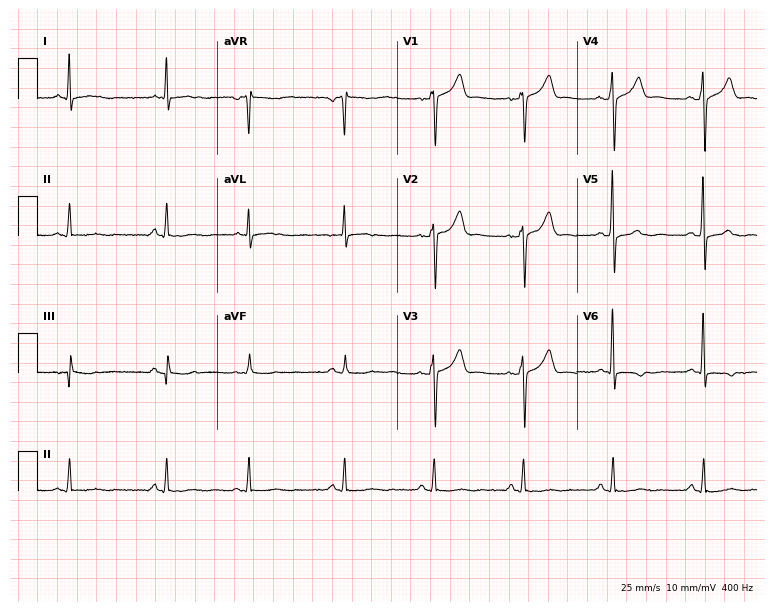
12-lead ECG from a 50-year-old male. Screened for six findings — first-degree AV block, right bundle branch block, left bundle branch block, sinus bradycardia, atrial fibrillation, sinus tachycardia — none is recorded. Only these six findings were labelled.